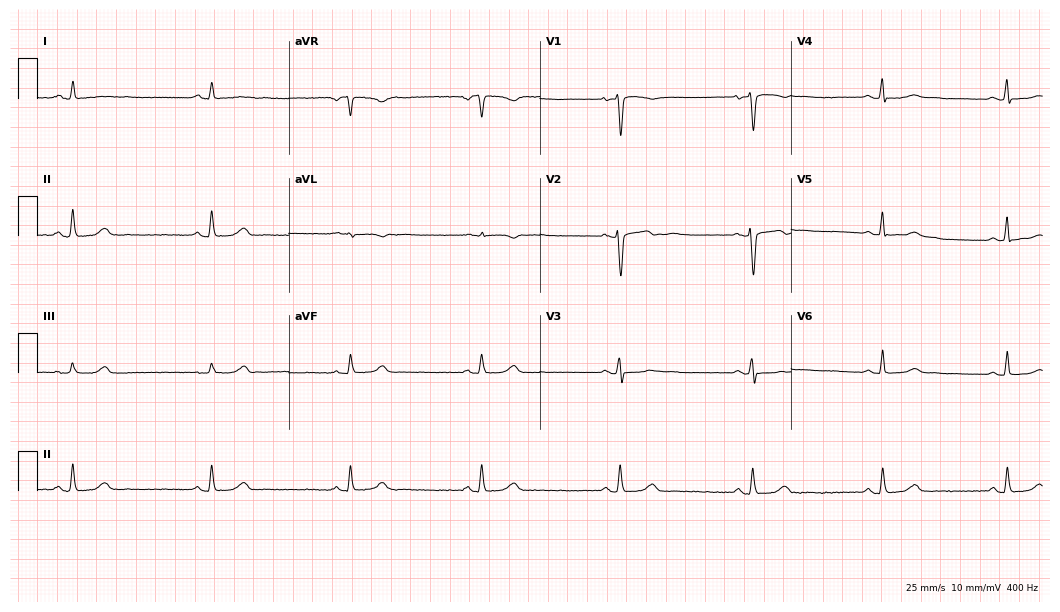
12-lead ECG from a 21-year-old woman. Shows sinus bradycardia (a sinus rate of 50 beats per minute or less).